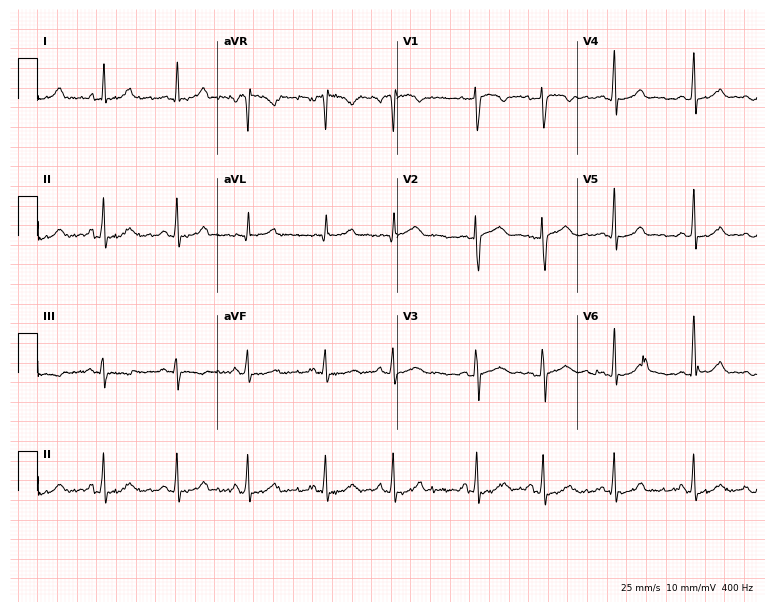
Standard 12-lead ECG recorded from a female, 28 years old (7.3-second recording at 400 Hz). Read as a normal ECG.